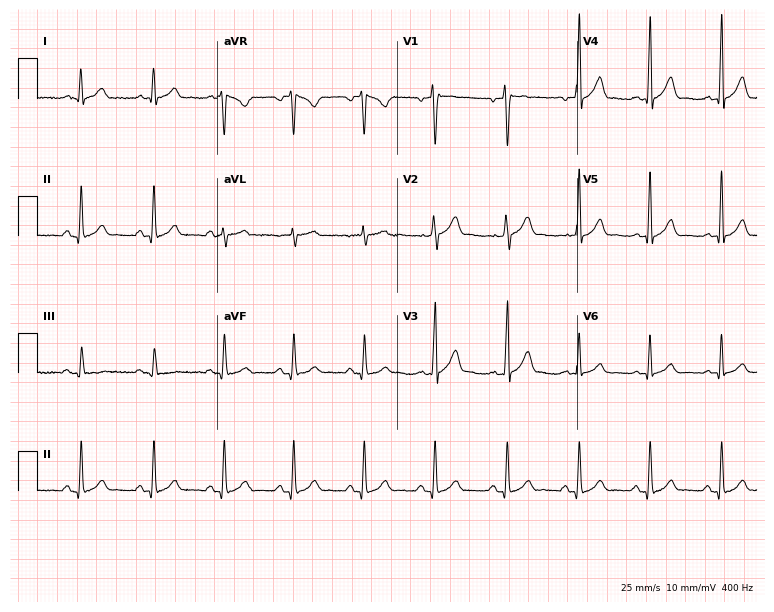
12-lead ECG from a male, 51 years old (7.3-second recording at 400 Hz). Recorded interpretation: within normal limits.